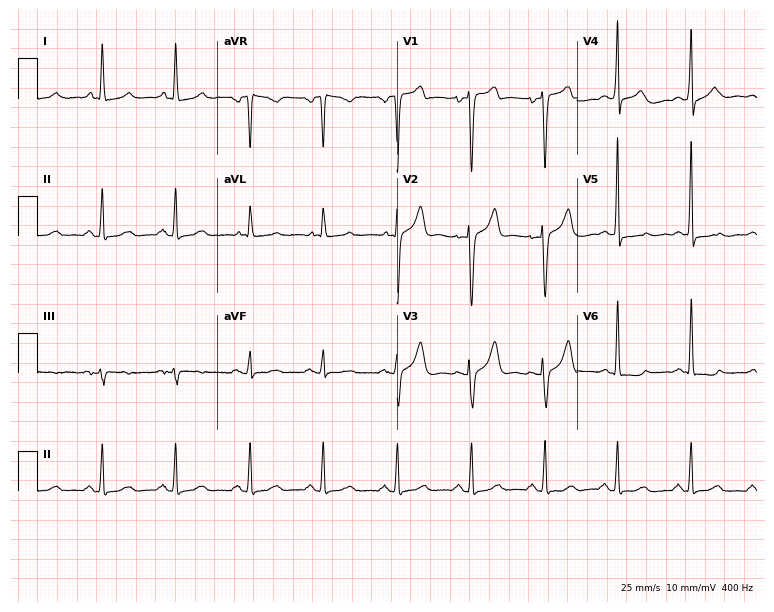
Resting 12-lead electrocardiogram (7.3-second recording at 400 Hz). Patient: a 48-year-old woman. None of these six findings is recorded: first-degree AV block, right bundle branch block (RBBB), left bundle branch block (LBBB), sinus bradycardia, atrial fibrillation (AF), sinus tachycardia. Other findings, if any, are not listed.